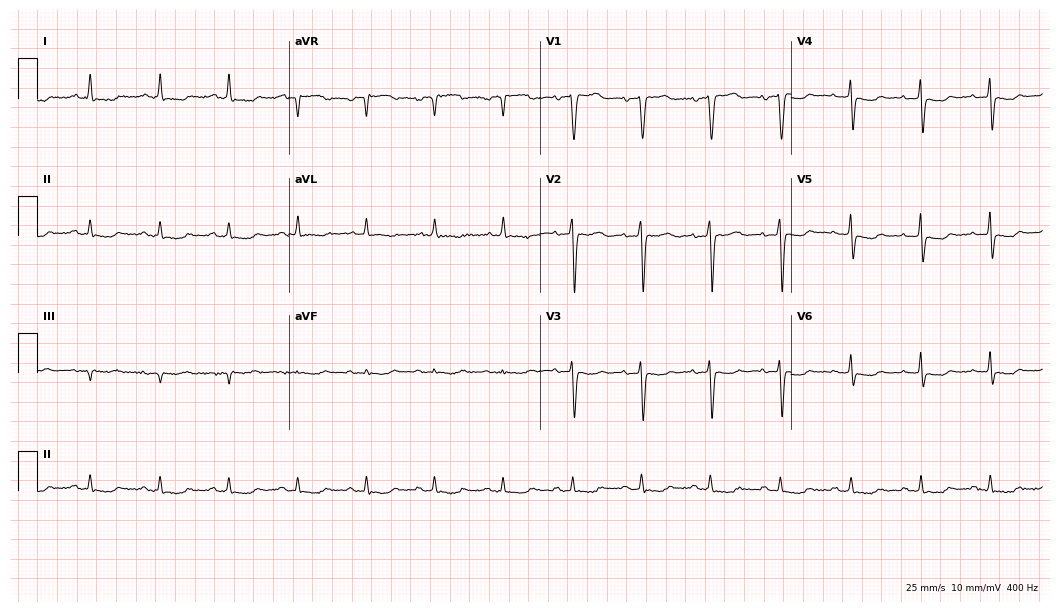
Electrocardiogram (10.2-second recording at 400 Hz), a 74-year-old female. Of the six screened findings (first-degree AV block, right bundle branch block, left bundle branch block, sinus bradycardia, atrial fibrillation, sinus tachycardia), none is recorded. Other findings, if any, are not listed.